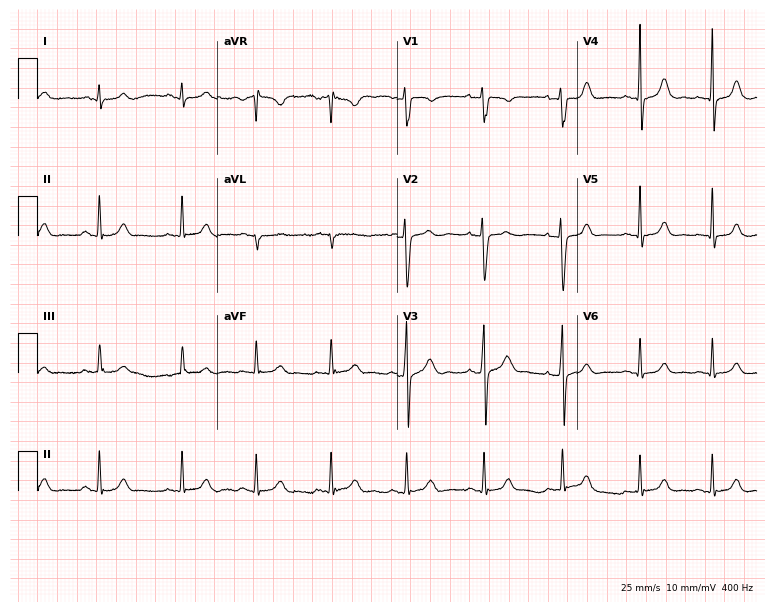
Electrocardiogram (7.3-second recording at 400 Hz), a female patient, 20 years old. Of the six screened findings (first-degree AV block, right bundle branch block, left bundle branch block, sinus bradycardia, atrial fibrillation, sinus tachycardia), none is recorded.